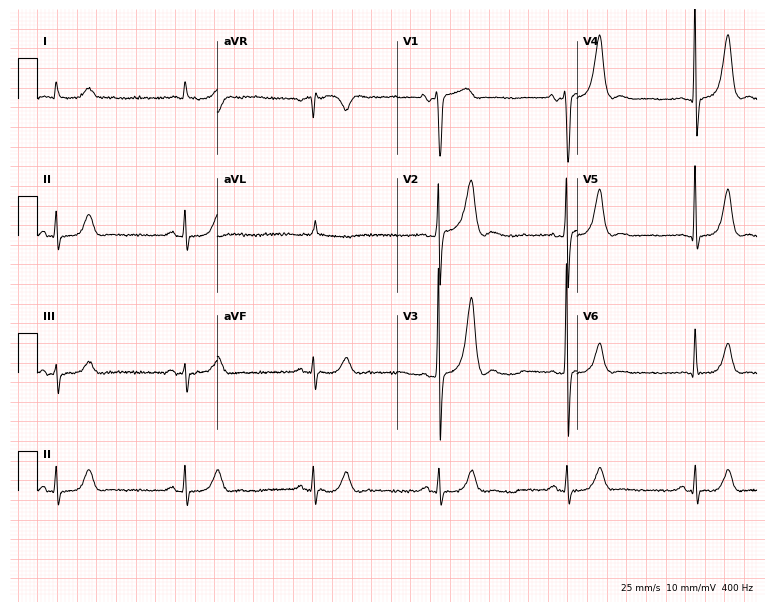
Electrocardiogram, a man, 77 years old. Of the six screened findings (first-degree AV block, right bundle branch block (RBBB), left bundle branch block (LBBB), sinus bradycardia, atrial fibrillation (AF), sinus tachycardia), none is recorded.